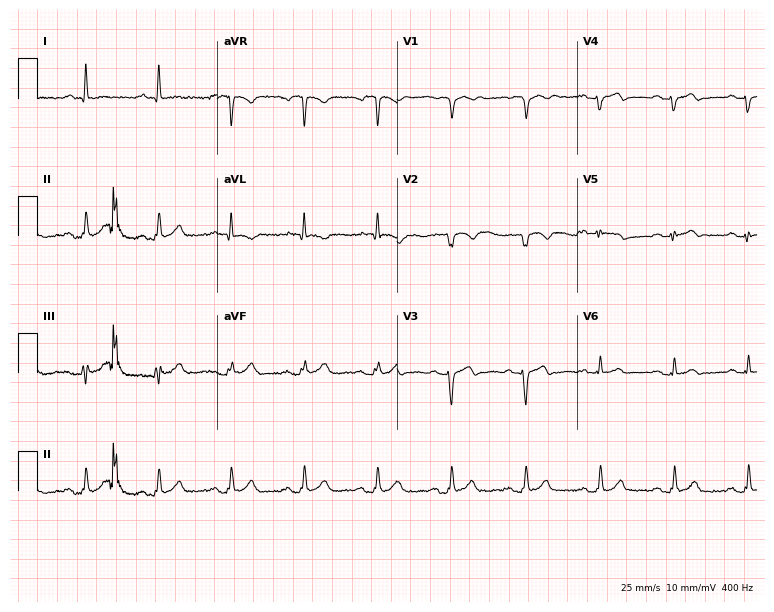
Standard 12-lead ECG recorded from a male, 81 years old. None of these six findings is recorded: first-degree AV block, right bundle branch block (RBBB), left bundle branch block (LBBB), sinus bradycardia, atrial fibrillation (AF), sinus tachycardia.